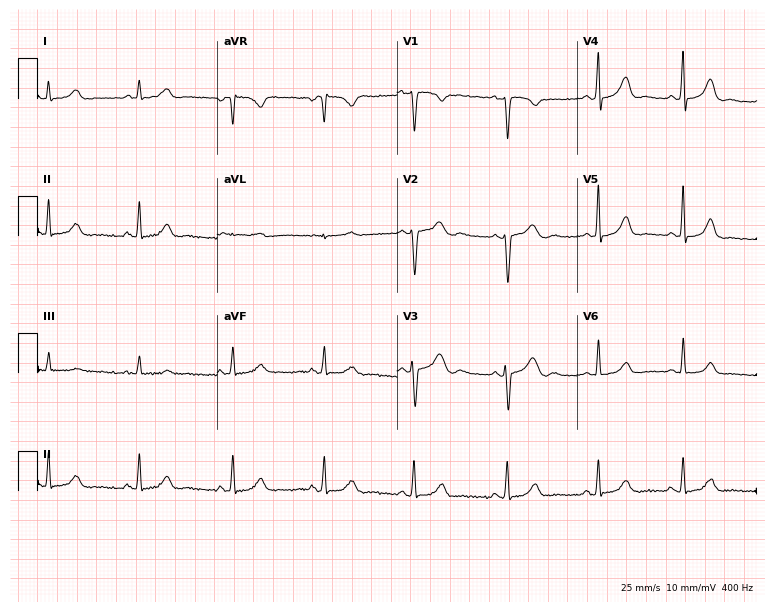
Electrocardiogram, a female patient, 23 years old. Of the six screened findings (first-degree AV block, right bundle branch block, left bundle branch block, sinus bradycardia, atrial fibrillation, sinus tachycardia), none is recorded. Only these six findings were labelled.